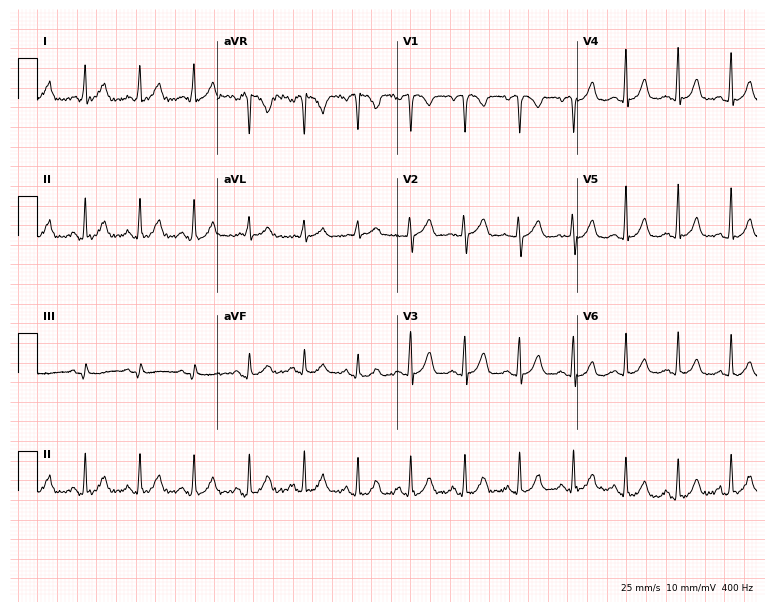
12-lead ECG (7.3-second recording at 400 Hz) from a 31-year-old woman. Findings include sinus tachycardia (a sinus rate of 100 beats per minute or more).